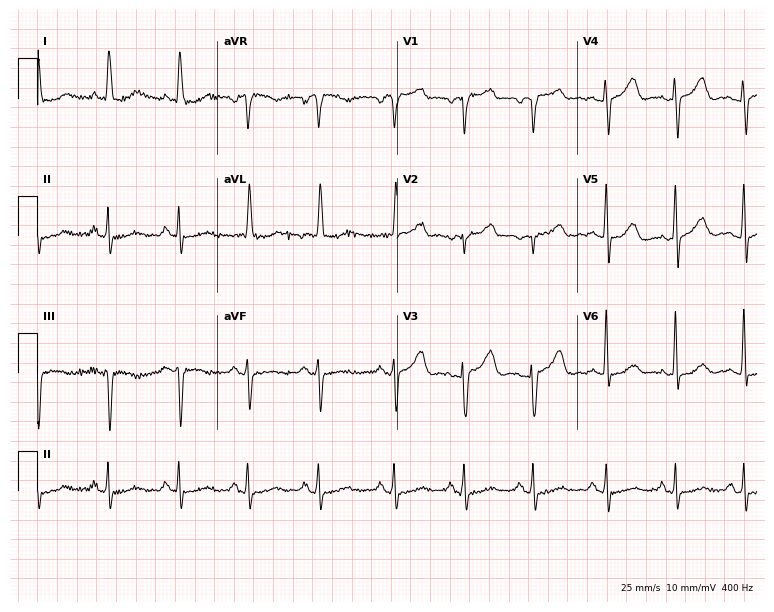
Electrocardiogram (7.3-second recording at 400 Hz), a female, 67 years old. Of the six screened findings (first-degree AV block, right bundle branch block, left bundle branch block, sinus bradycardia, atrial fibrillation, sinus tachycardia), none is recorded.